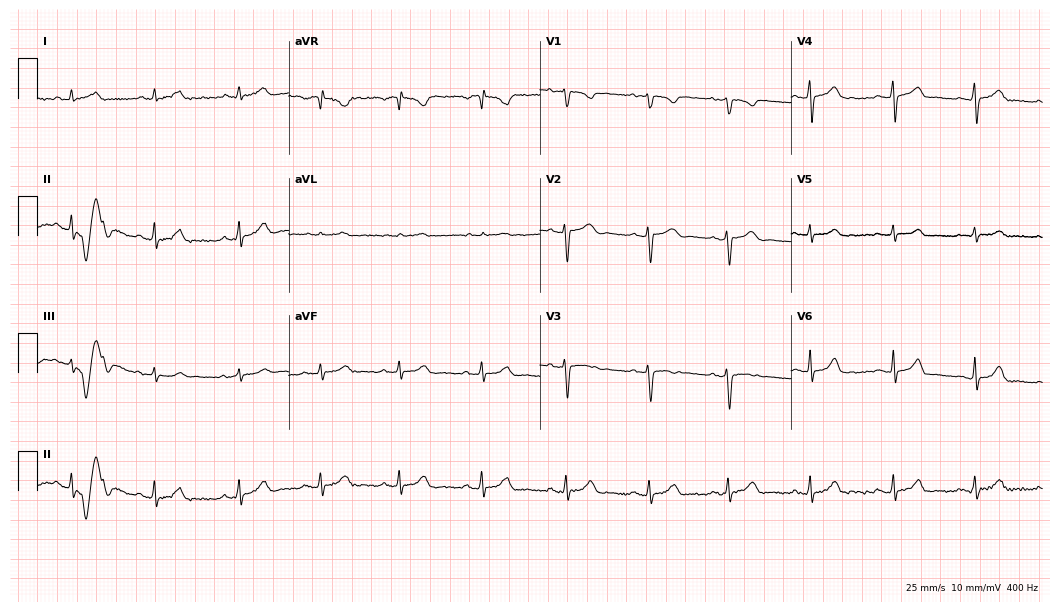
Electrocardiogram (10.2-second recording at 400 Hz), a woman, 20 years old. Overall reading on record: normal ECG.